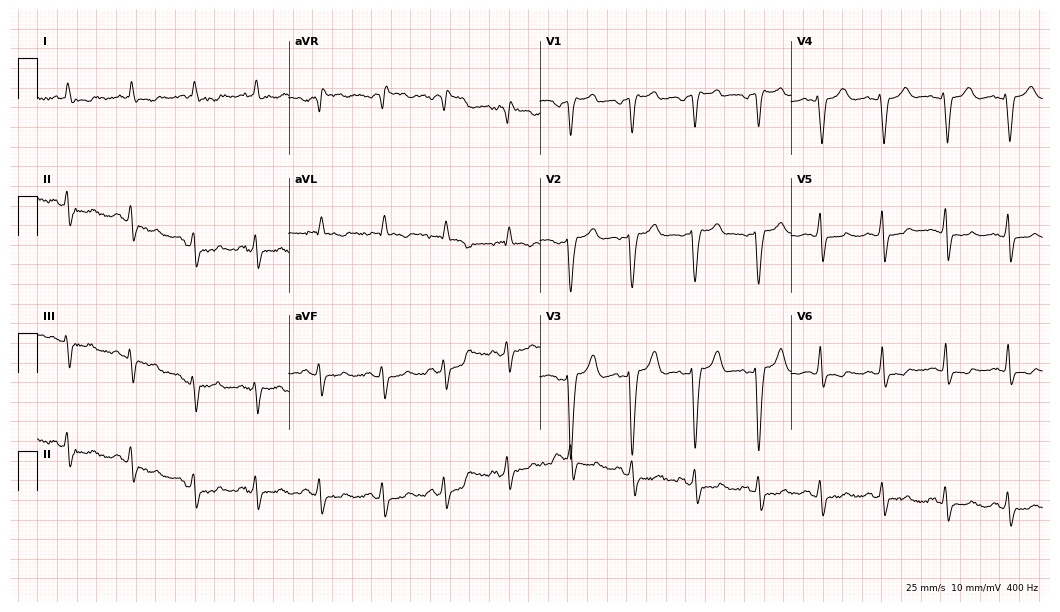
Standard 12-lead ECG recorded from a 68-year-old male (10.2-second recording at 400 Hz). None of these six findings is recorded: first-degree AV block, right bundle branch block, left bundle branch block, sinus bradycardia, atrial fibrillation, sinus tachycardia.